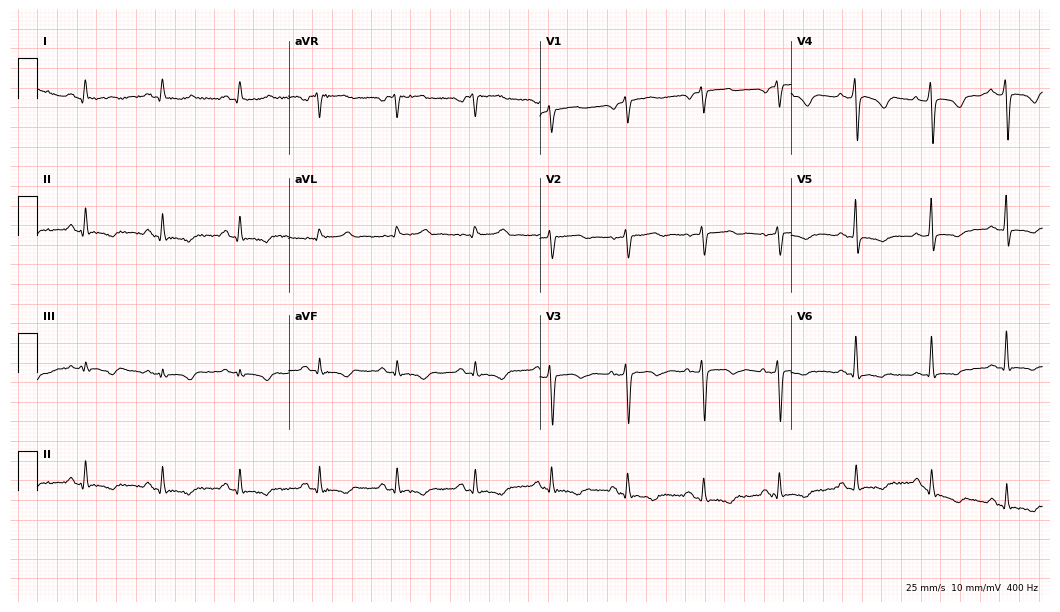
12-lead ECG (10.2-second recording at 400 Hz) from a 70-year-old male. Screened for six findings — first-degree AV block, right bundle branch block, left bundle branch block, sinus bradycardia, atrial fibrillation, sinus tachycardia — none is recorded.